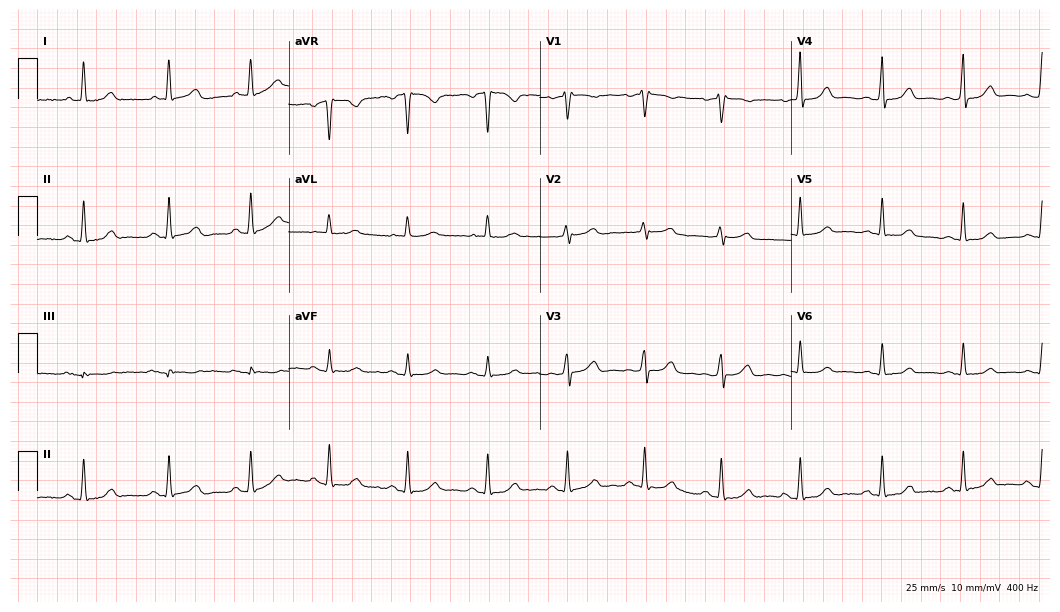
12-lead ECG from a 64-year-old woman. No first-degree AV block, right bundle branch block, left bundle branch block, sinus bradycardia, atrial fibrillation or sinus tachycardia recorded for this tracing. Other findings, if any, are not listed.